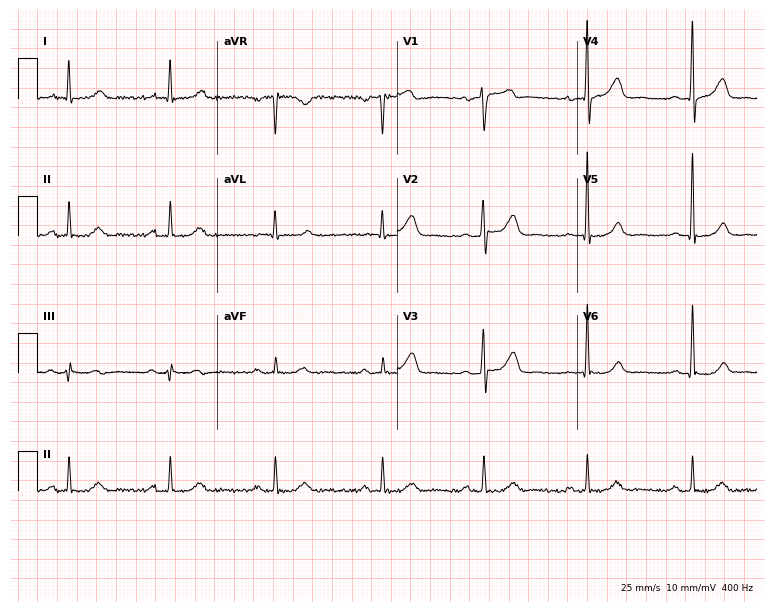
Standard 12-lead ECG recorded from a 32-year-old male patient. Read as a normal ECG.